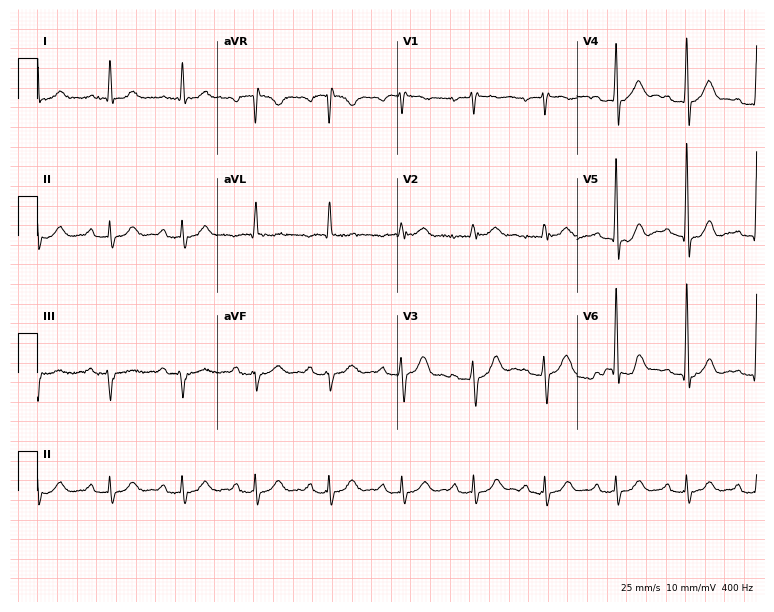
Resting 12-lead electrocardiogram. Patient: a male, 78 years old. Read as a normal ECG.